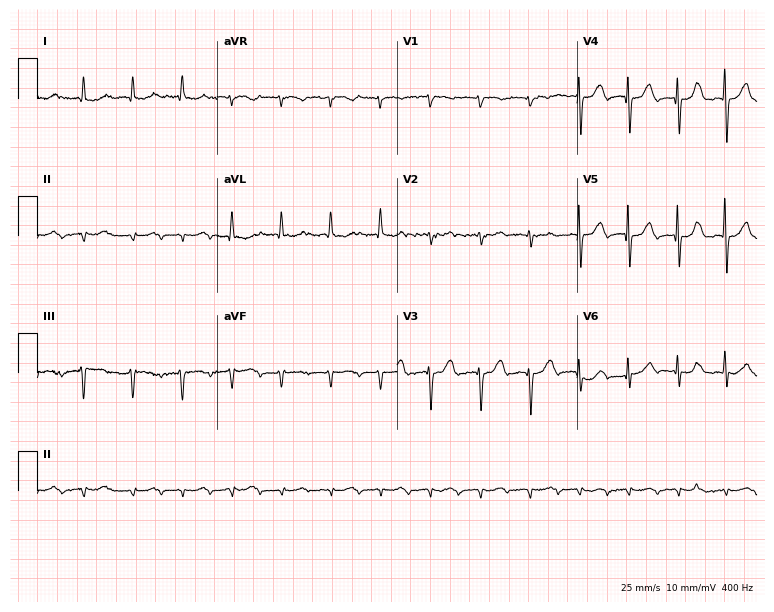
12-lead ECG (7.3-second recording at 400 Hz) from an 84-year-old female. Screened for six findings — first-degree AV block, right bundle branch block, left bundle branch block, sinus bradycardia, atrial fibrillation, sinus tachycardia — none is recorded.